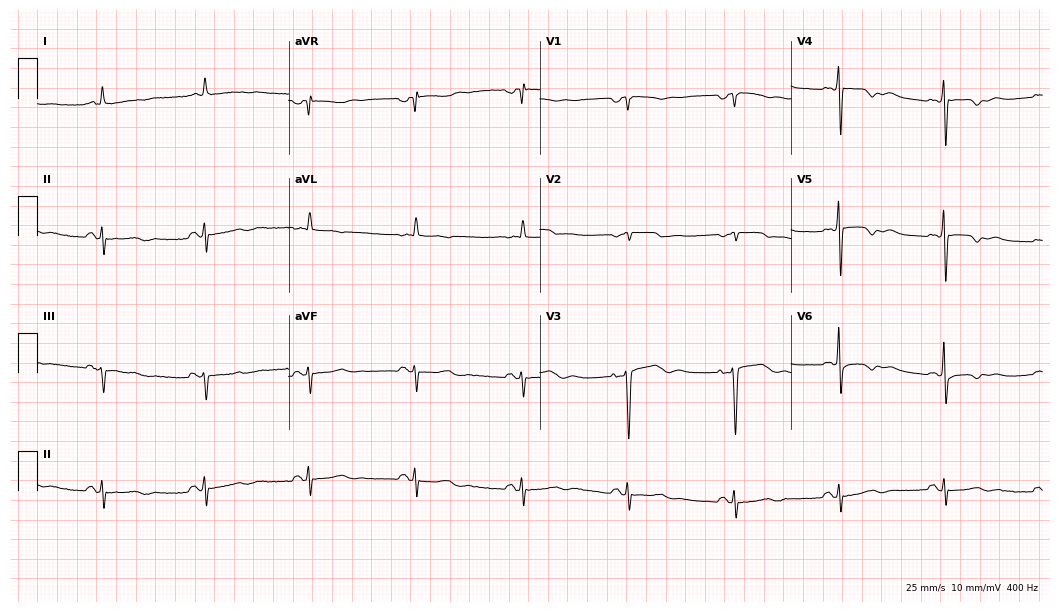
Resting 12-lead electrocardiogram (10.2-second recording at 400 Hz). Patient: a 66-year-old female. None of these six findings is recorded: first-degree AV block, right bundle branch block (RBBB), left bundle branch block (LBBB), sinus bradycardia, atrial fibrillation (AF), sinus tachycardia.